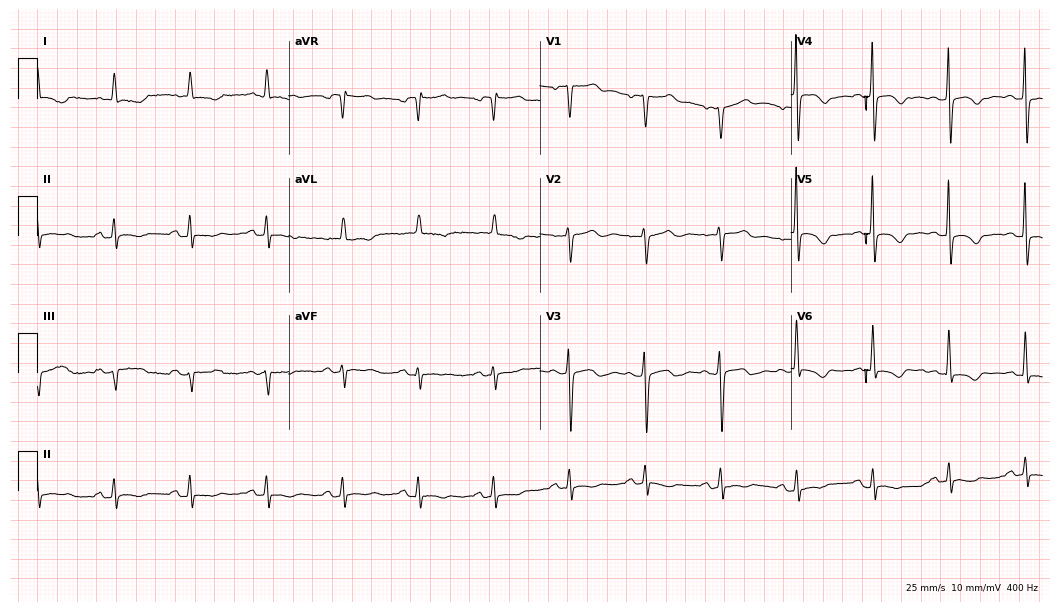
12-lead ECG (10.2-second recording at 400 Hz) from an 80-year-old female. Screened for six findings — first-degree AV block, right bundle branch block (RBBB), left bundle branch block (LBBB), sinus bradycardia, atrial fibrillation (AF), sinus tachycardia — none is recorded.